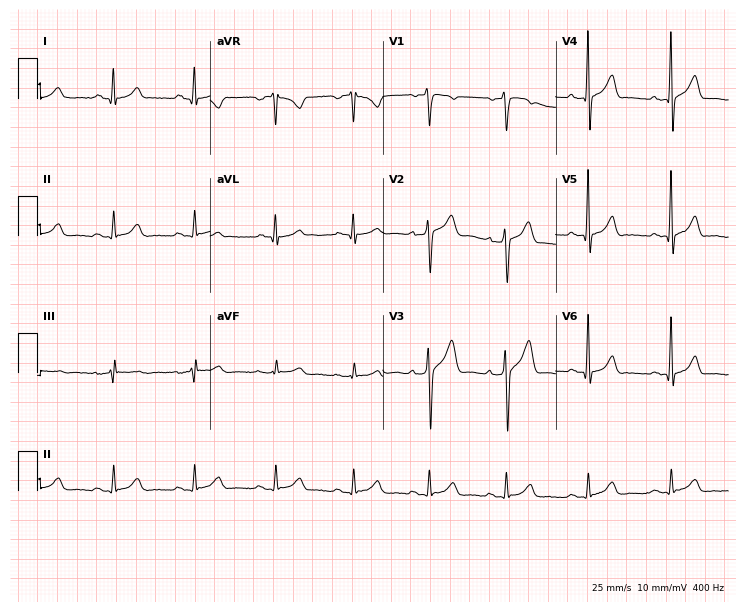
ECG — a man, 46 years old. Screened for six findings — first-degree AV block, right bundle branch block (RBBB), left bundle branch block (LBBB), sinus bradycardia, atrial fibrillation (AF), sinus tachycardia — none is recorded. Other findings, if any, are not listed.